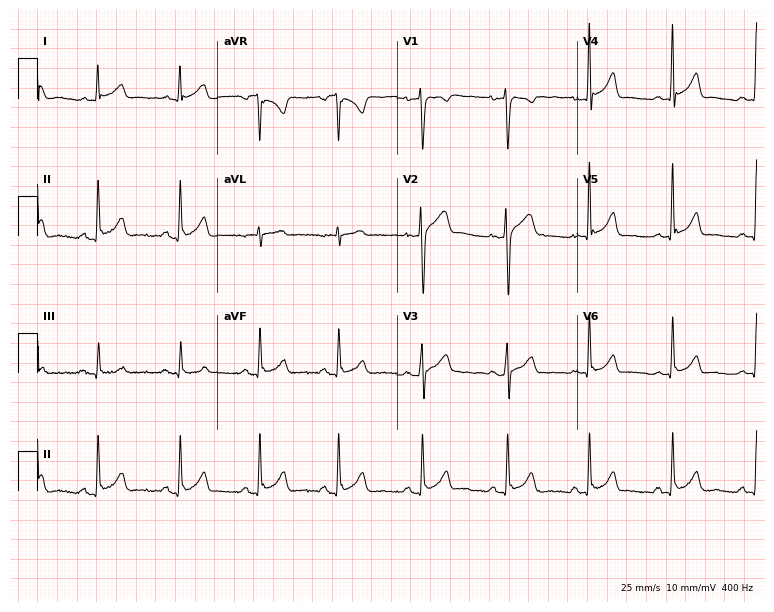
Electrocardiogram, a 27-year-old man. Of the six screened findings (first-degree AV block, right bundle branch block, left bundle branch block, sinus bradycardia, atrial fibrillation, sinus tachycardia), none is recorded. Only these six findings were labelled.